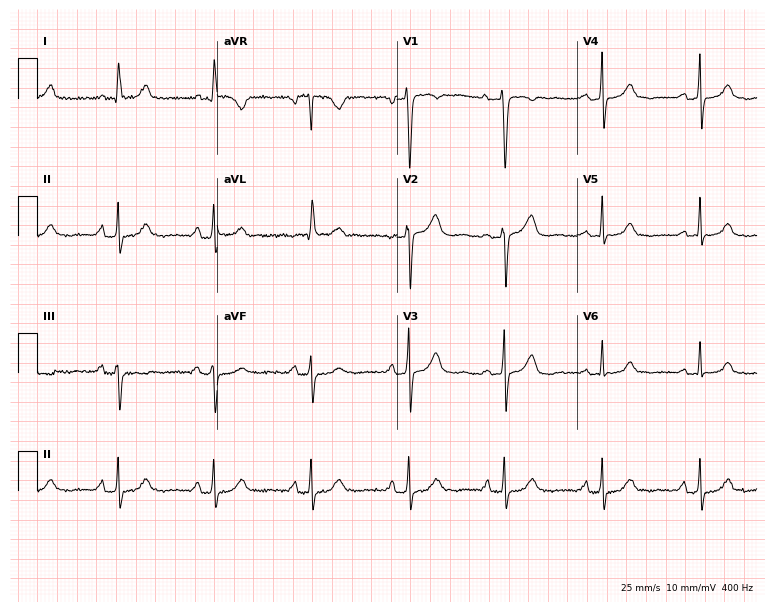
Electrocardiogram, a woman, 52 years old. Of the six screened findings (first-degree AV block, right bundle branch block (RBBB), left bundle branch block (LBBB), sinus bradycardia, atrial fibrillation (AF), sinus tachycardia), none is recorded.